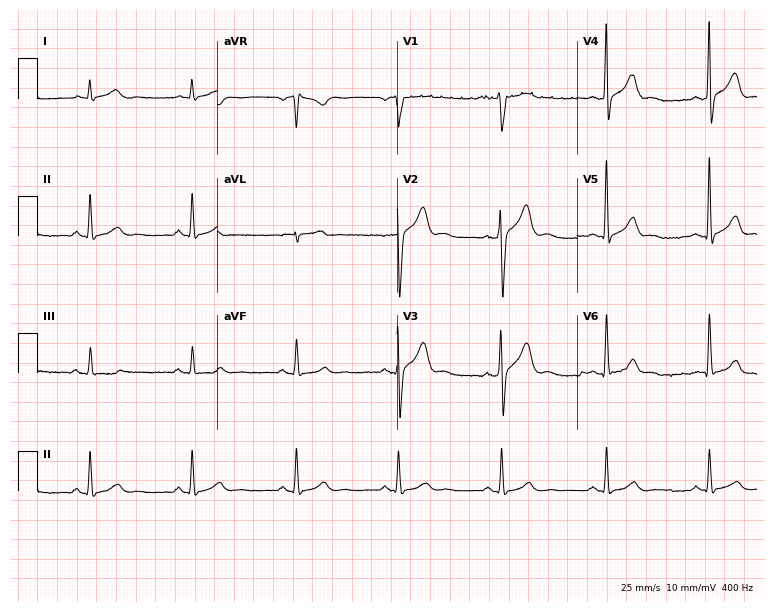
Electrocardiogram, a male, 47 years old. Overall reading on record: normal ECG.